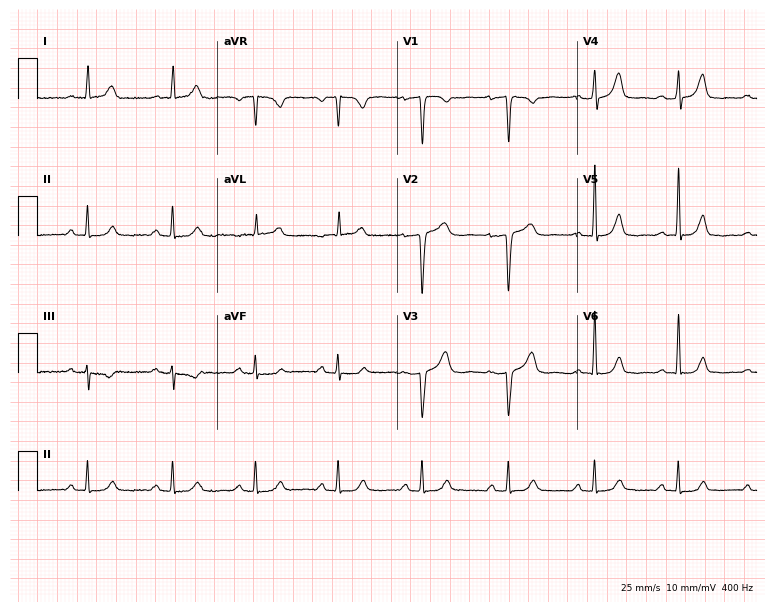
ECG (7.3-second recording at 400 Hz) — a woman, 51 years old. Screened for six findings — first-degree AV block, right bundle branch block, left bundle branch block, sinus bradycardia, atrial fibrillation, sinus tachycardia — none is recorded.